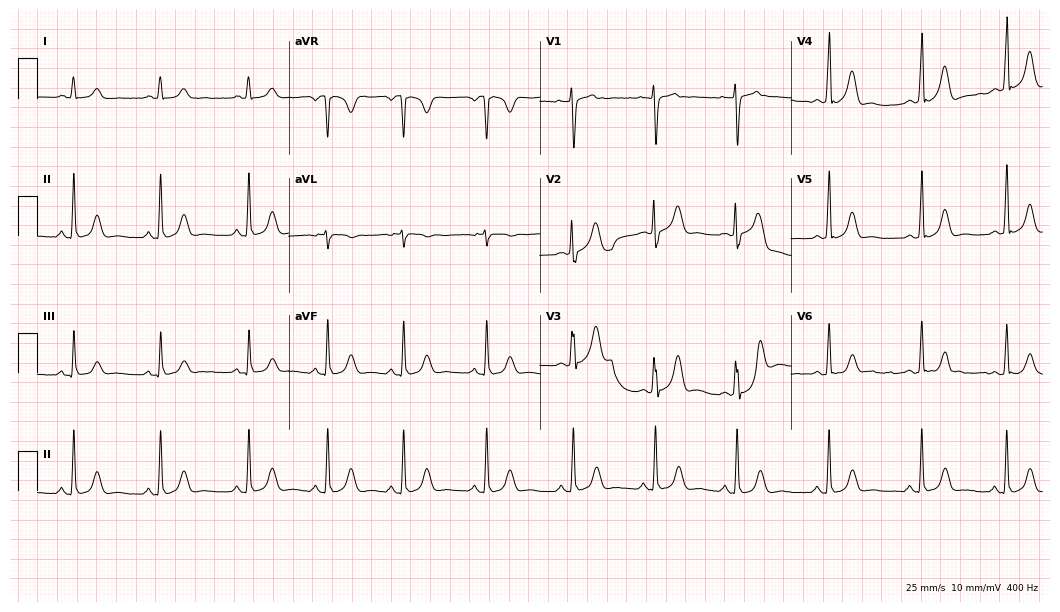
12-lead ECG from a 23-year-old female. Recorded interpretation: within normal limits.